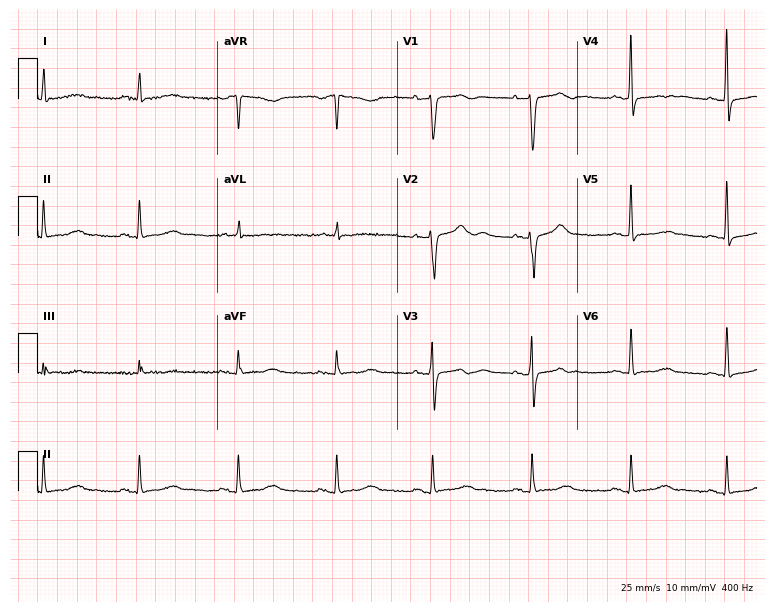
Standard 12-lead ECG recorded from a 60-year-old female patient. Read as a normal ECG.